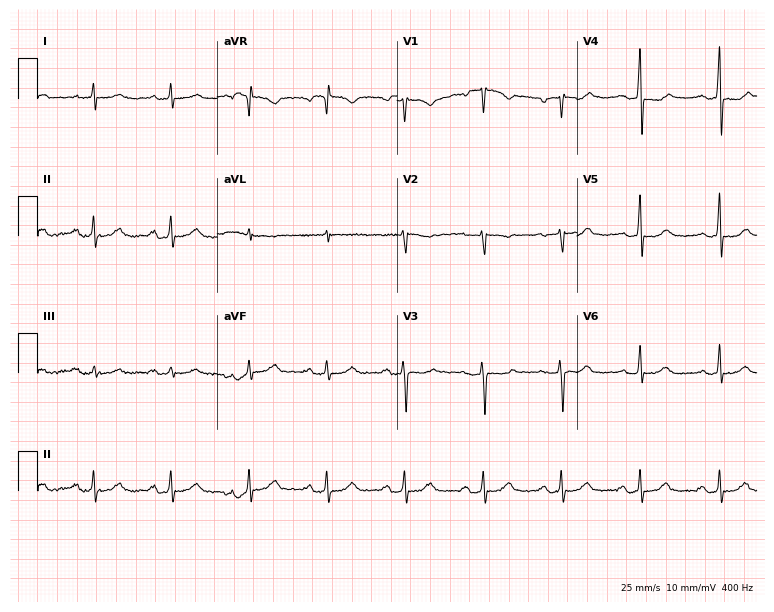
Electrocardiogram (7.3-second recording at 400 Hz), a male, 50 years old. Overall reading on record: normal ECG.